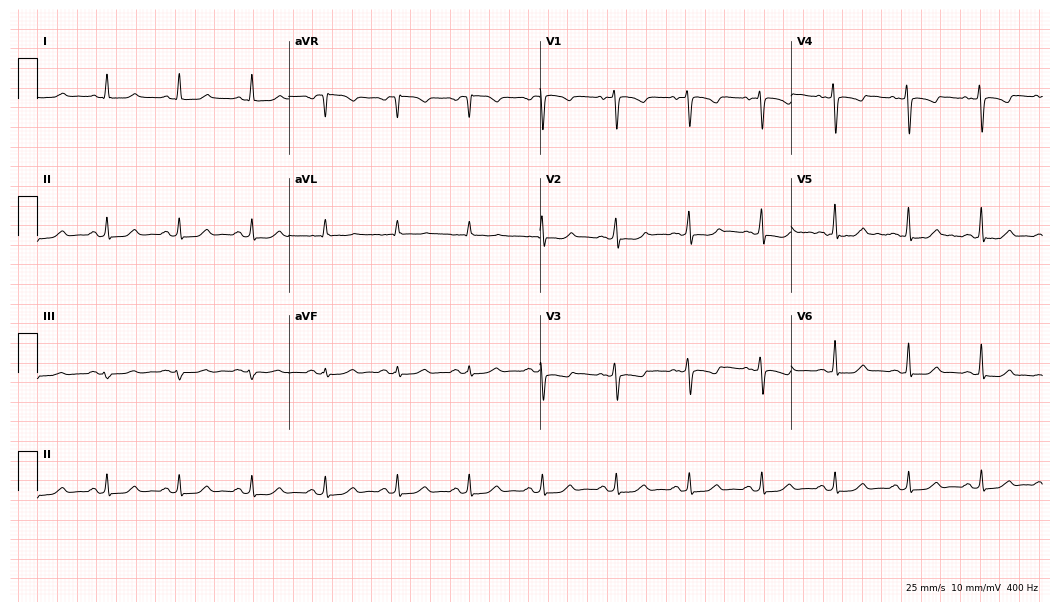
ECG (10.2-second recording at 400 Hz) — a female, 41 years old. Screened for six findings — first-degree AV block, right bundle branch block (RBBB), left bundle branch block (LBBB), sinus bradycardia, atrial fibrillation (AF), sinus tachycardia — none is recorded. Findings outside these six are not listed.